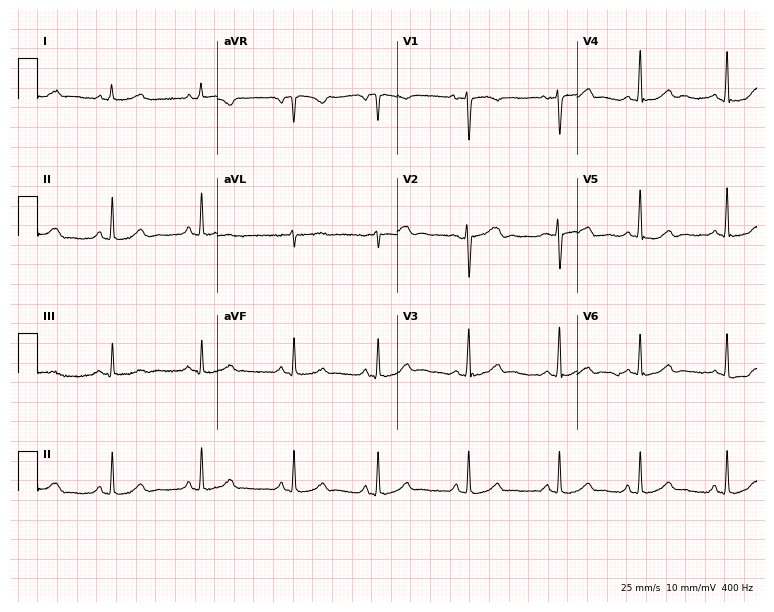
Standard 12-lead ECG recorded from a 30-year-old female patient (7.3-second recording at 400 Hz). None of these six findings is recorded: first-degree AV block, right bundle branch block, left bundle branch block, sinus bradycardia, atrial fibrillation, sinus tachycardia. Only these six findings were labelled.